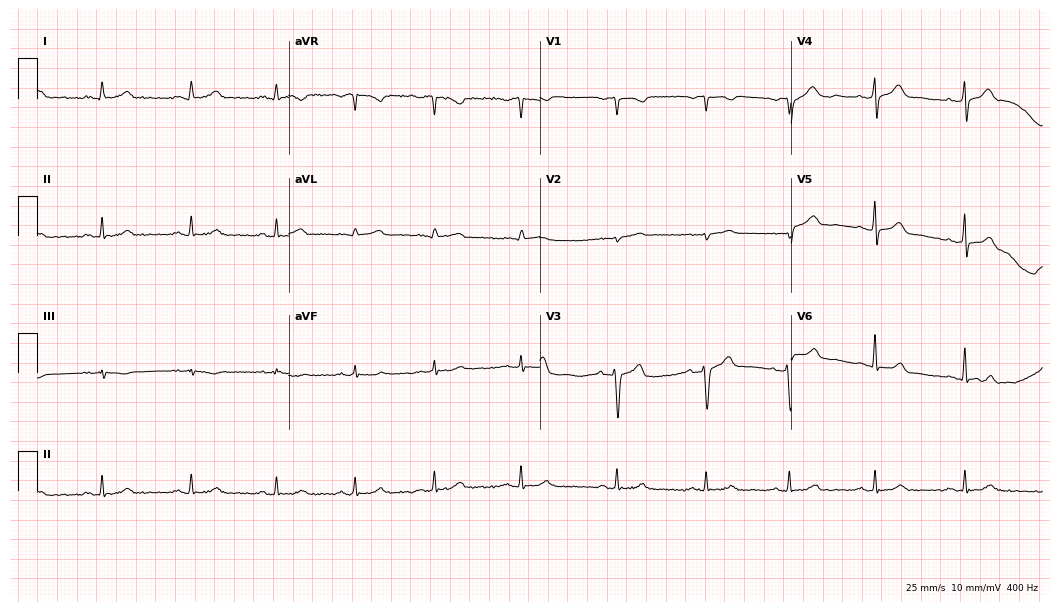
Resting 12-lead electrocardiogram. Patient: a male, 37 years old. None of these six findings is recorded: first-degree AV block, right bundle branch block, left bundle branch block, sinus bradycardia, atrial fibrillation, sinus tachycardia. Only these six findings were labelled.